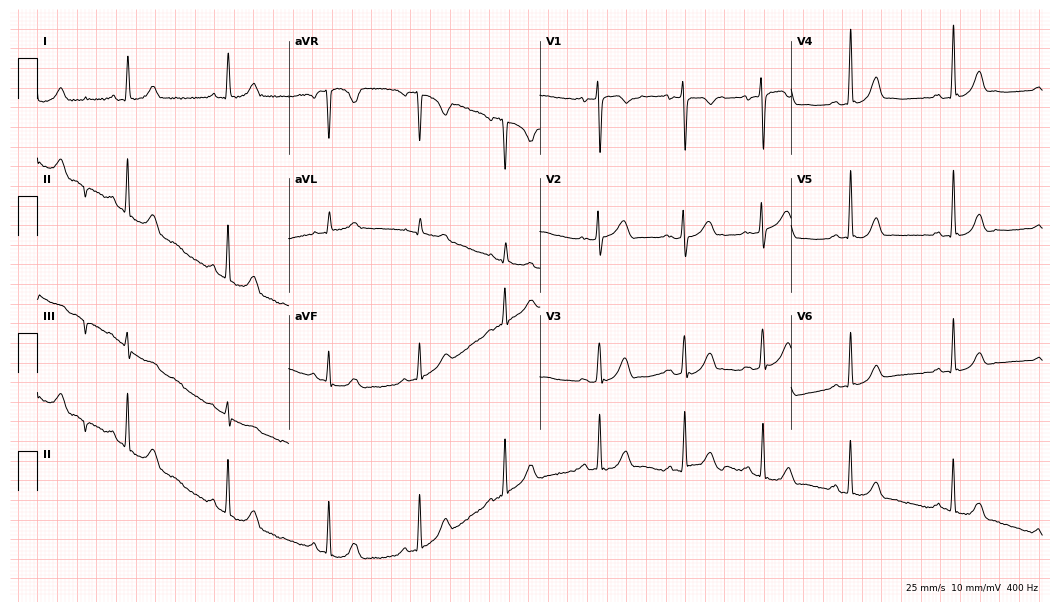
12-lead ECG from a 32-year-old female patient. Recorded interpretation: within normal limits.